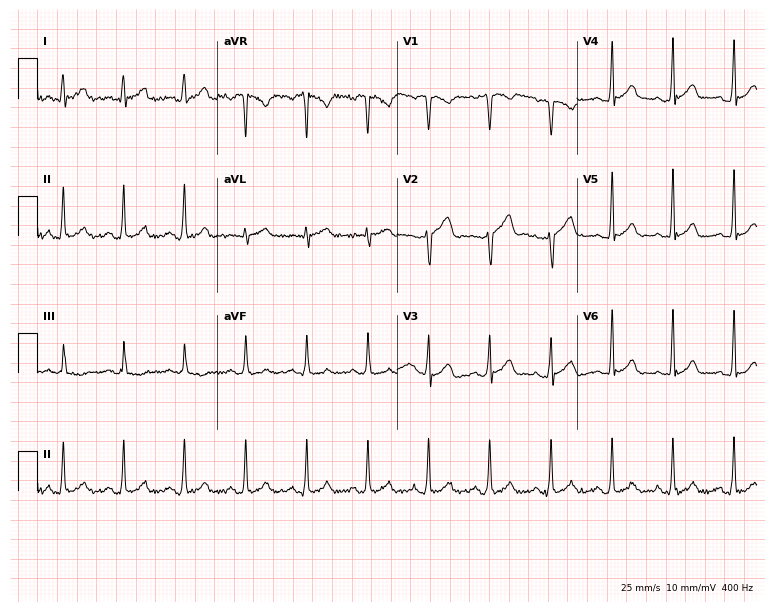
ECG (7.3-second recording at 400 Hz) — a 38-year-old man. Labelled as a normal ECG.